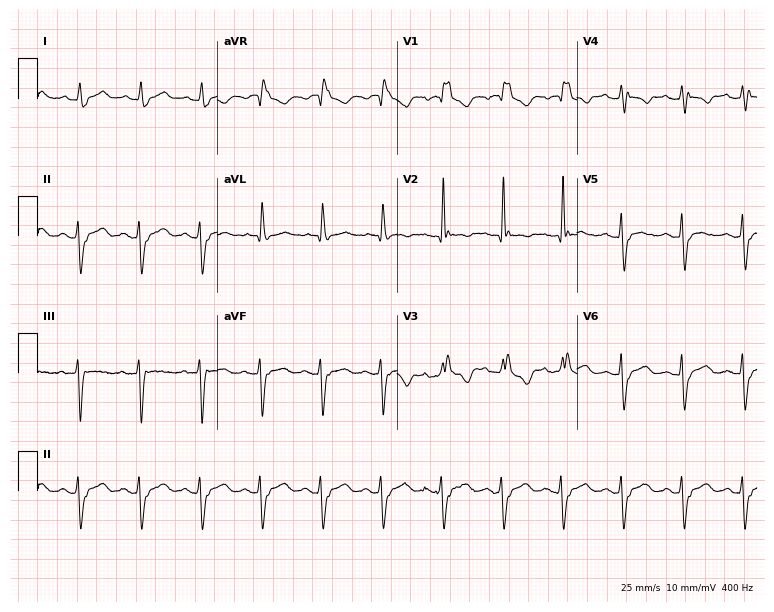
12-lead ECG from a male, 74 years old. Findings include right bundle branch block.